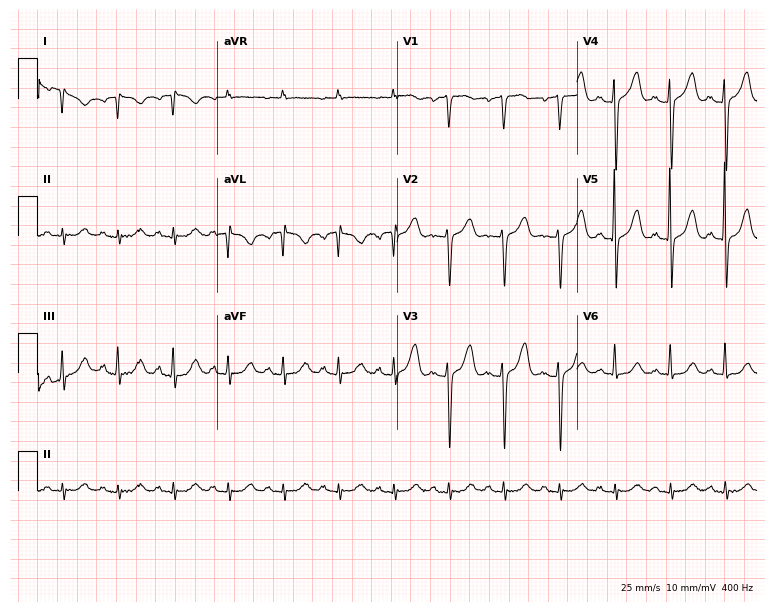
12-lead ECG from a female, 74 years old (7.3-second recording at 400 Hz). No first-degree AV block, right bundle branch block, left bundle branch block, sinus bradycardia, atrial fibrillation or sinus tachycardia recorded for this tracing. Other findings, if any, are not listed.